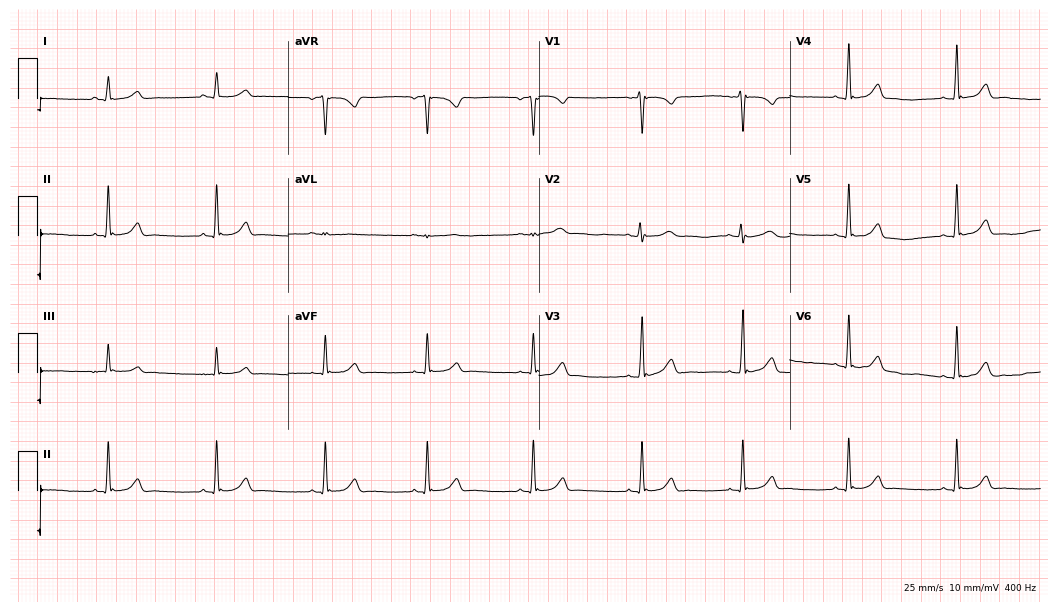
Resting 12-lead electrocardiogram. Patient: a woman, 17 years old. Read as a normal ECG.